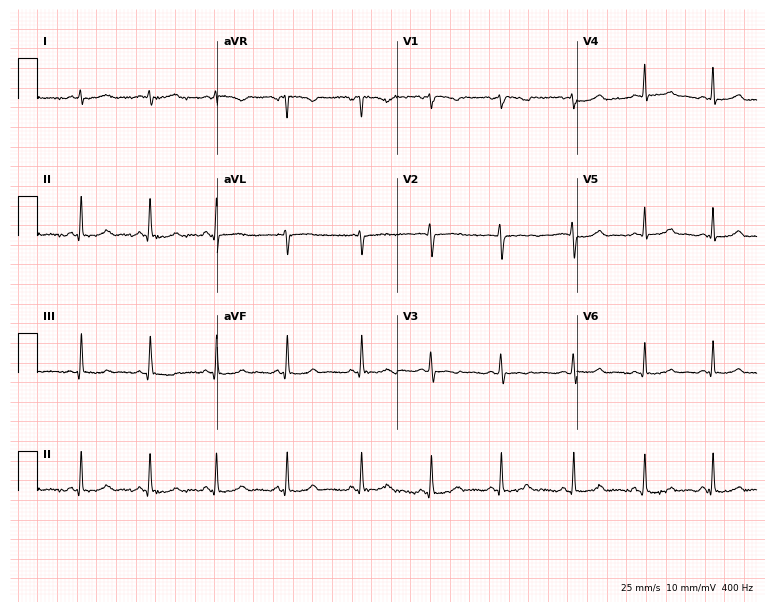
12-lead ECG from a 20-year-old female. Labelled as a normal ECG.